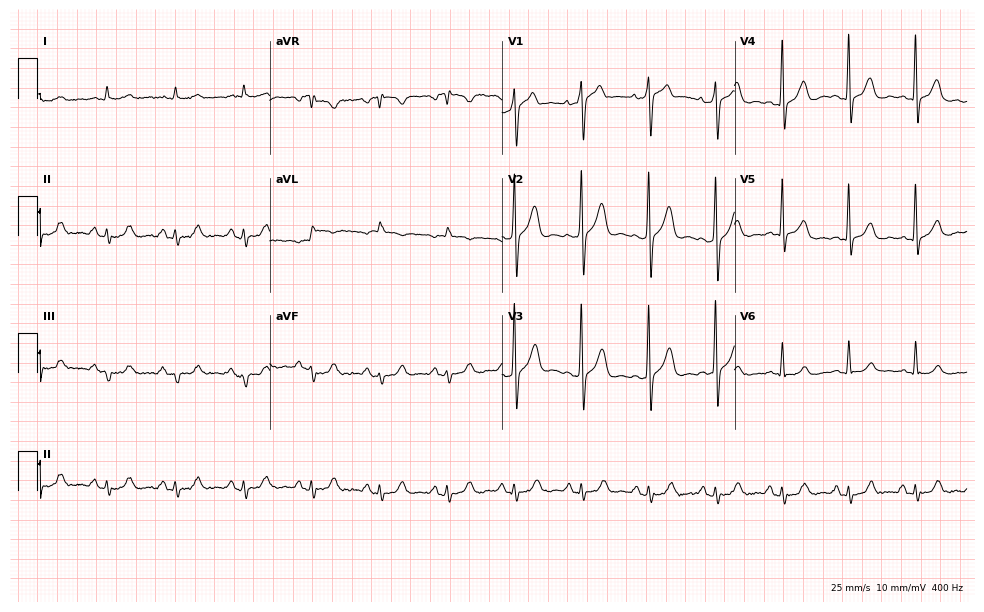
12-lead ECG (9.5-second recording at 400 Hz) from a 72-year-old male. Screened for six findings — first-degree AV block, right bundle branch block, left bundle branch block, sinus bradycardia, atrial fibrillation, sinus tachycardia — none is recorded.